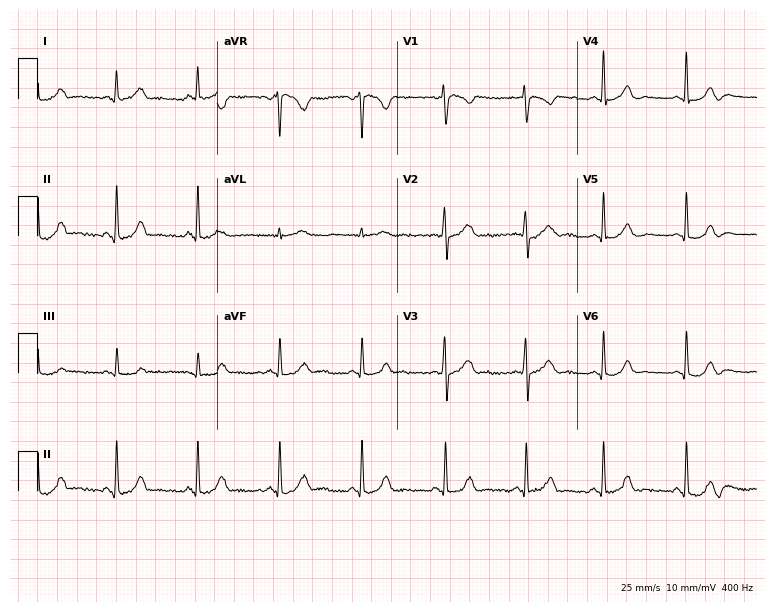
12-lead ECG from a female patient, 21 years old. Recorded interpretation: within normal limits.